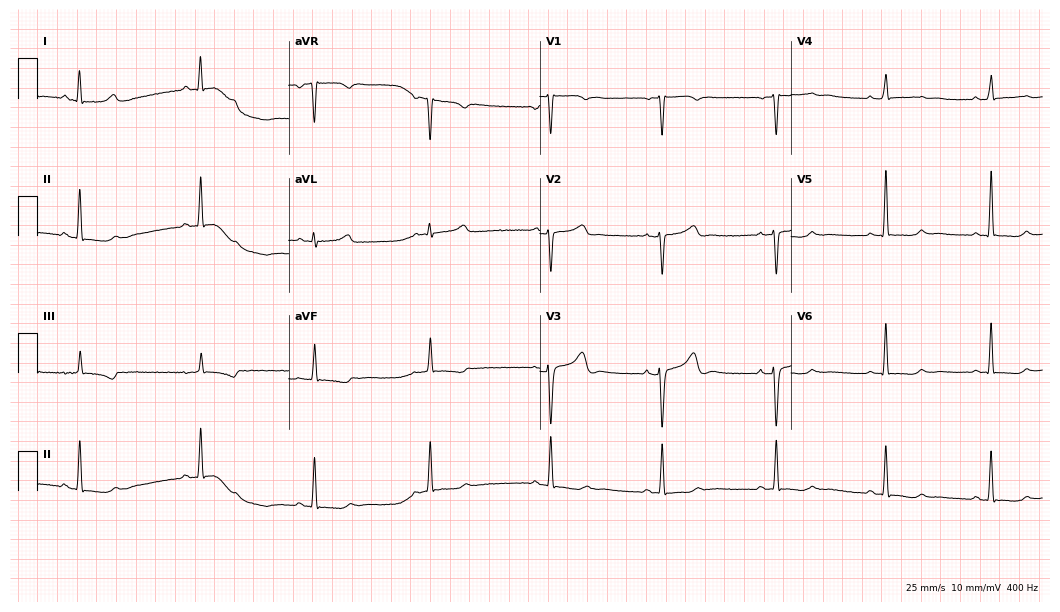
12-lead ECG from a 48-year-old female patient. Screened for six findings — first-degree AV block, right bundle branch block, left bundle branch block, sinus bradycardia, atrial fibrillation, sinus tachycardia — none is recorded. Only these six findings were labelled.